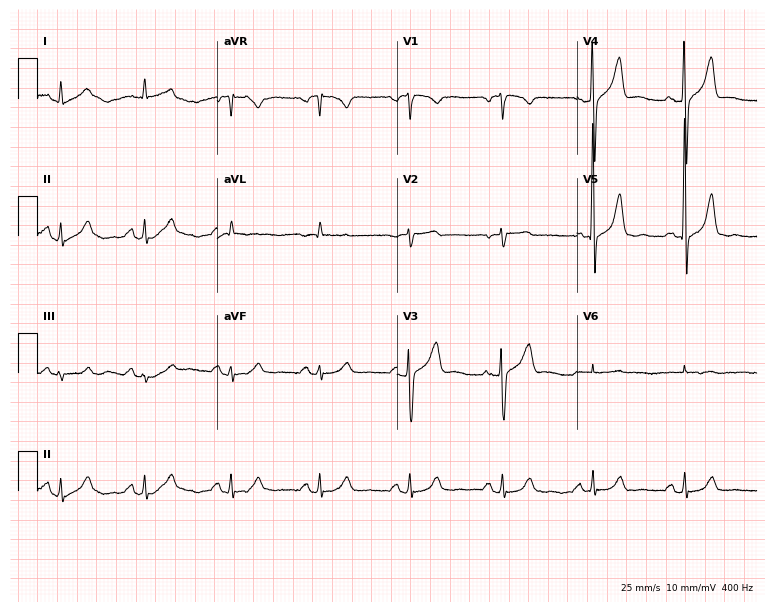
ECG (7.3-second recording at 400 Hz) — a 74-year-old male. Labelled as a normal ECG.